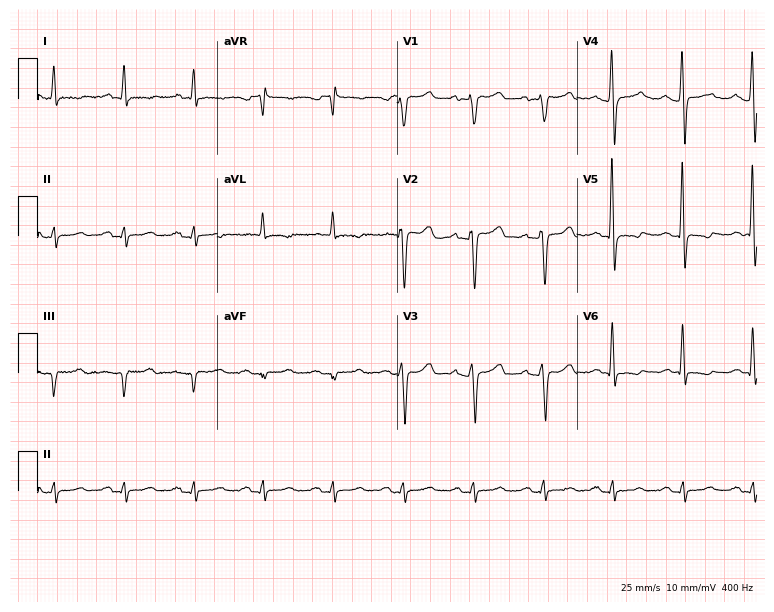
ECG (7.3-second recording at 400 Hz) — a 57-year-old man. Screened for six findings — first-degree AV block, right bundle branch block, left bundle branch block, sinus bradycardia, atrial fibrillation, sinus tachycardia — none is recorded.